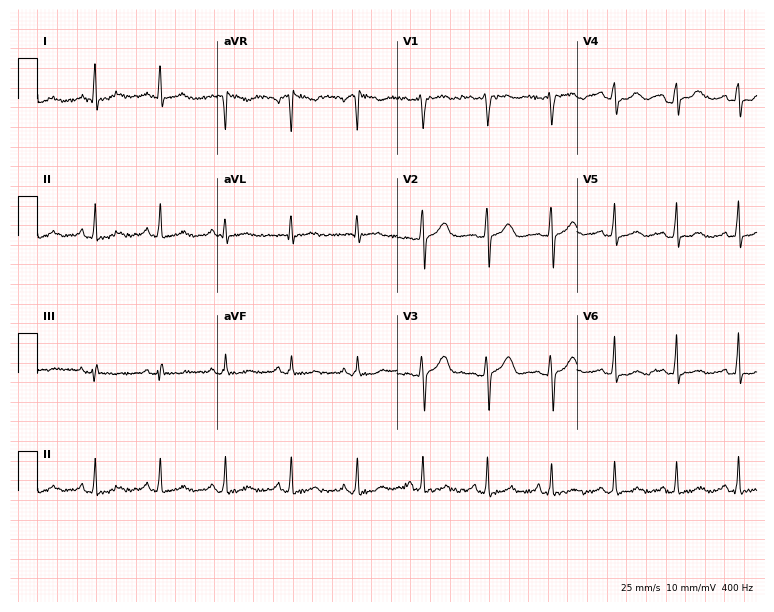
12-lead ECG from a woman, 48 years old. Recorded interpretation: within normal limits.